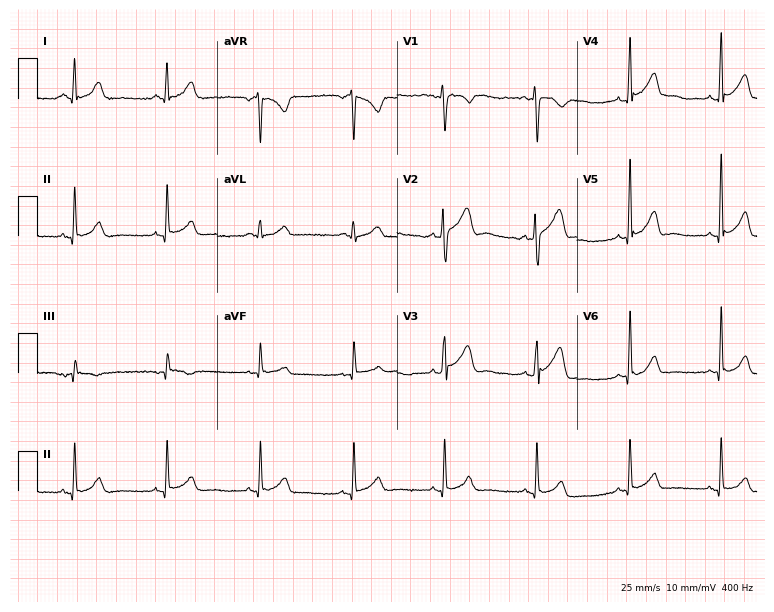
12-lead ECG from a man, 27 years old. No first-degree AV block, right bundle branch block (RBBB), left bundle branch block (LBBB), sinus bradycardia, atrial fibrillation (AF) or sinus tachycardia recorded for this tracing.